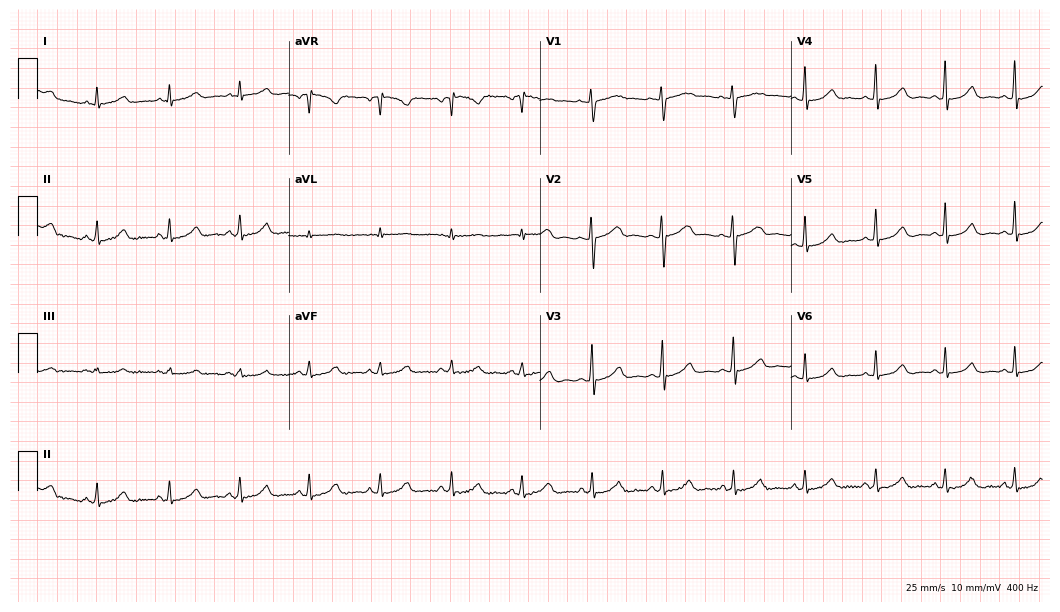
Resting 12-lead electrocardiogram (10.2-second recording at 400 Hz). Patient: a female, 38 years old. Read as a normal ECG.